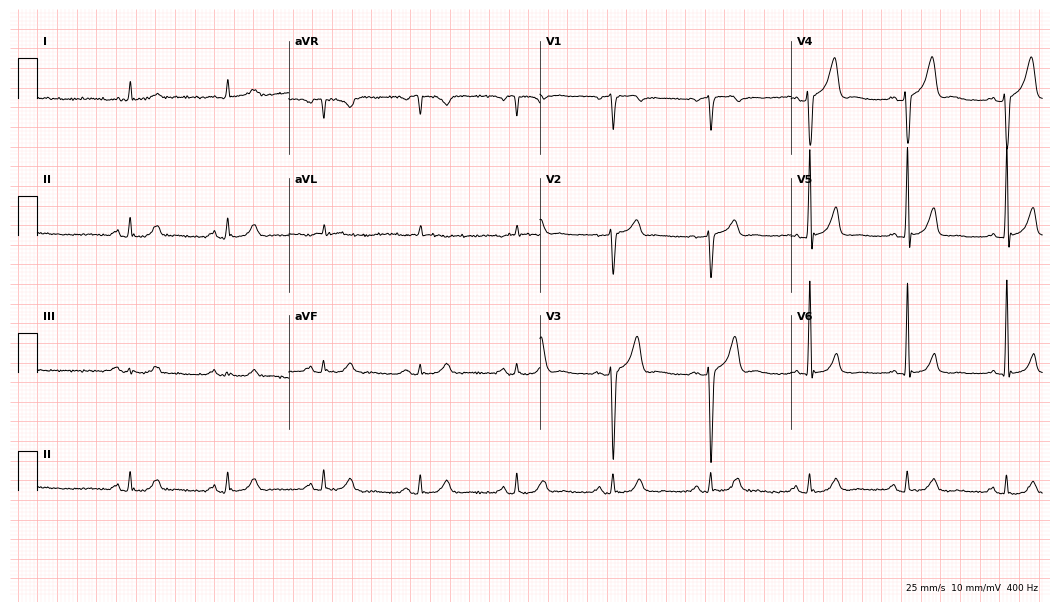
Resting 12-lead electrocardiogram (10.2-second recording at 400 Hz). Patient: a male, 65 years old. None of these six findings is recorded: first-degree AV block, right bundle branch block, left bundle branch block, sinus bradycardia, atrial fibrillation, sinus tachycardia. Other findings, if any, are not listed.